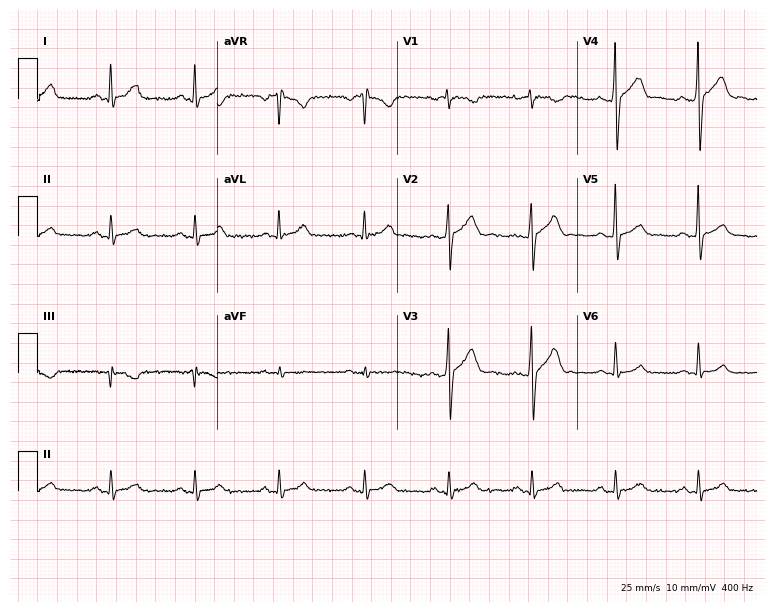
Standard 12-lead ECG recorded from a 31-year-old male (7.3-second recording at 400 Hz). Read as a normal ECG.